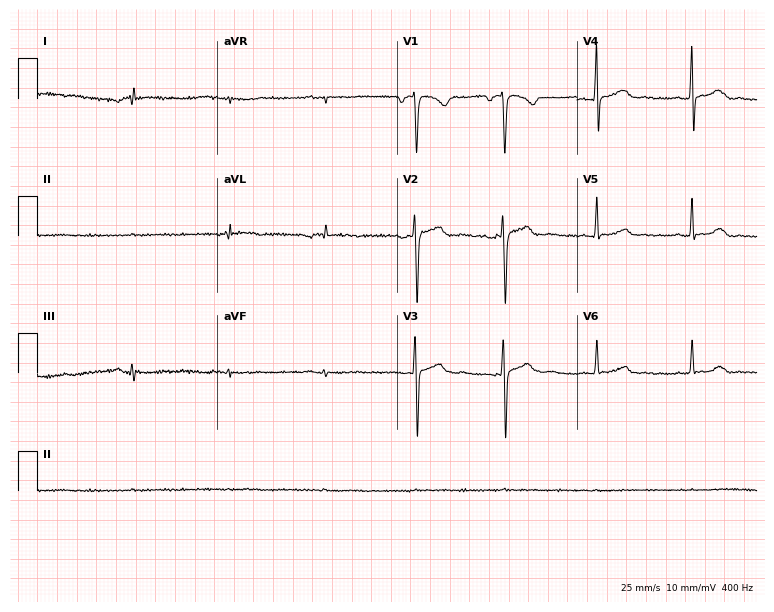
Standard 12-lead ECG recorded from a woman, 44 years old (7.3-second recording at 400 Hz). None of these six findings is recorded: first-degree AV block, right bundle branch block (RBBB), left bundle branch block (LBBB), sinus bradycardia, atrial fibrillation (AF), sinus tachycardia.